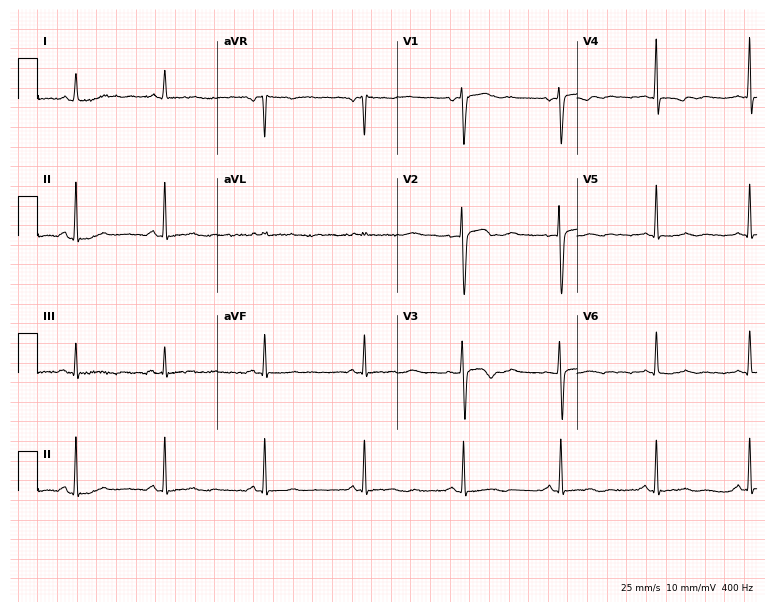
12-lead ECG (7.3-second recording at 400 Hz) from a 41-year-old female. Screened for six findings — first-degree AV block, right bundle branch block, left bundle branch block, sinus bradycardia, atrial fibrillation, sinus tachycardia — none is recorded. Findings outside these six are not listed.